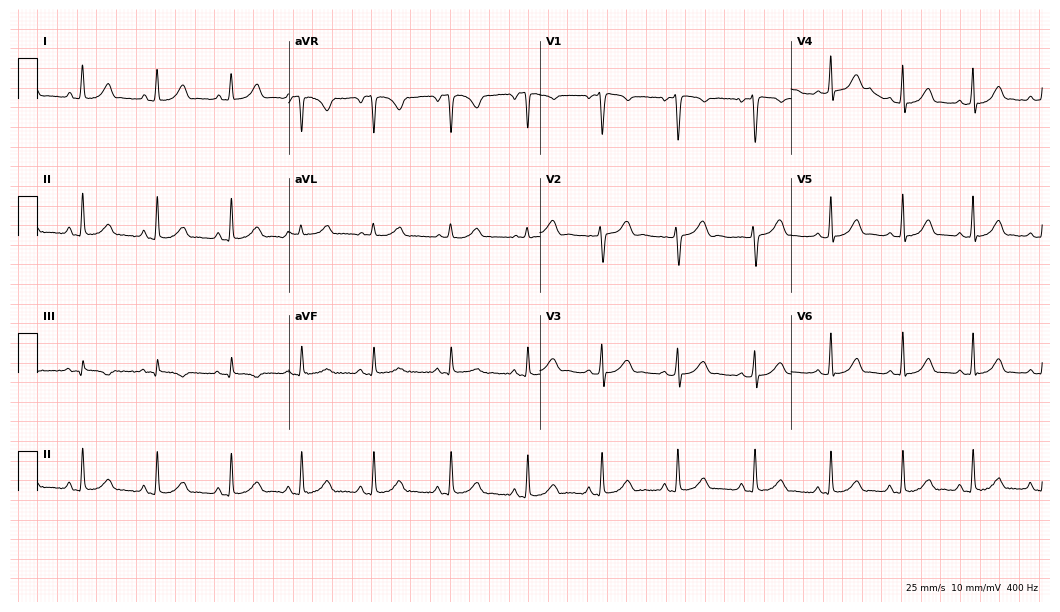
12-lead ECG from a 24-year-old man (10.2-second recording at 400 Hz). Recorded interpretation: within normal limits.